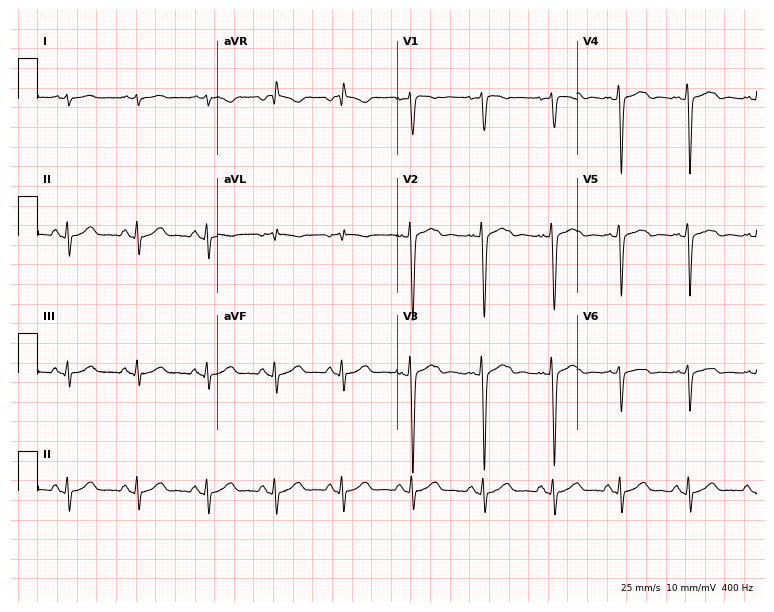
Standard 12-lead ECG recorded from a male patient, 25 years old (7.3-second recording at 400 Hz). None of these six findings is recorded: first-degree AV block, right bundle branch block, left bundle branch block, sinus bradycardia, atrial fibrillation, sinus tachycardia.